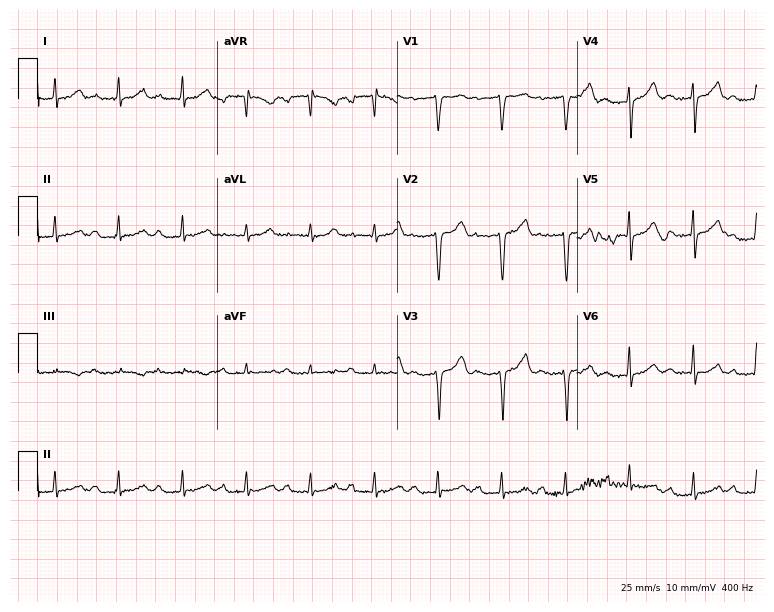
Electrocardiogram (7.3-second recording at 400 Hz), a 48-year-old female. Interpretation includes first-degree AV block.